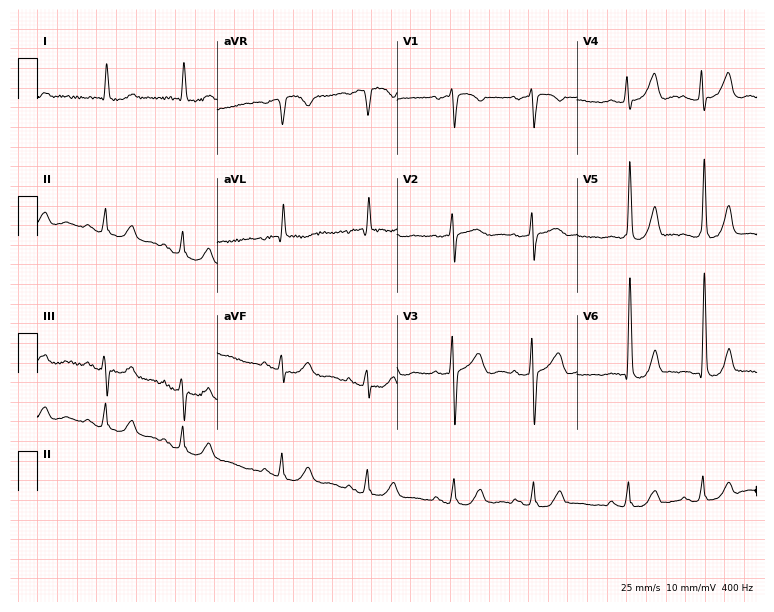
12-lead ECG from a female patient, 81 years old (7.3-second recording at 400 Hz). No first-degree AV block, right bundle branch block (RBBB), left bundle branch block (LBBB), sinus bradycardia, atrial fibrillation (AF) or sinus tachycardia recorded for this tracing.